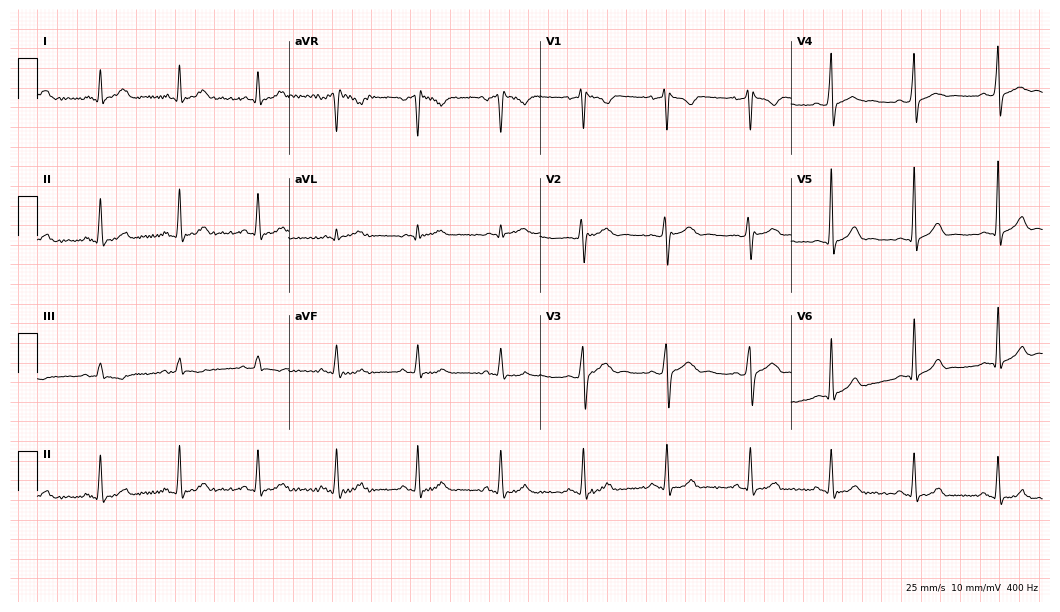
Standard 12-lead ECG recorded from a 25-year-old man. None of these six findings is recorded: first-degree AV block, right bundle branch block, left bundle branch block, sinus bradycardia, atrial fibrillation, sinus tachycardia. Findings outside these six are not listed.